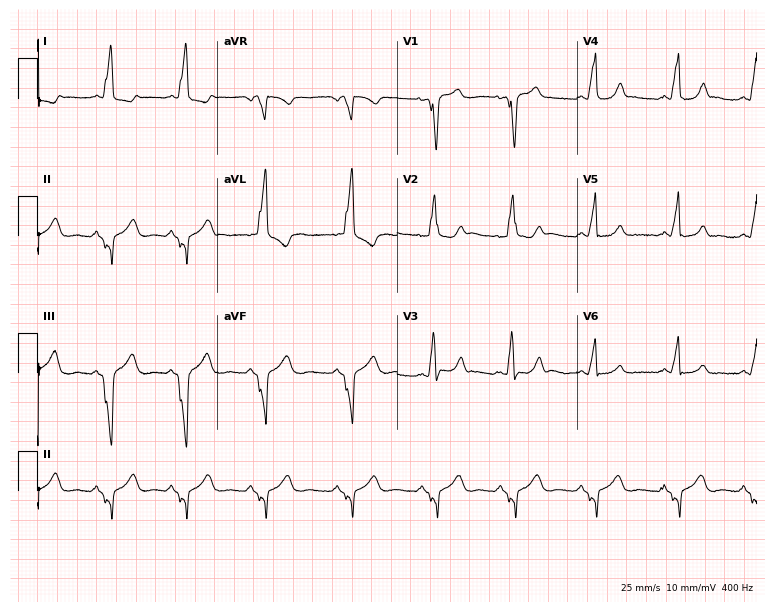
12-lead ECG (7.3-second recording at 400 Hz) from a 24-year-old woman. Screened for six findings — first-degree AV block, right bundle branch block, left bundle branch block, sinus bradycardia, atrial fibrillation, sinus tachycardia — none is recorded.